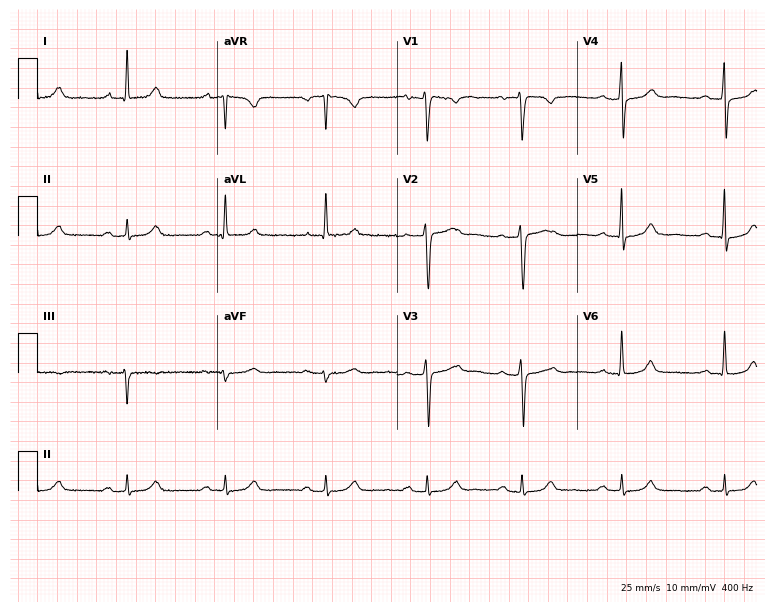
Standard 12-lead ECG recorded from a woman, 68 years old (7.3-second recording at 400 Hz). The tracing shows first-degree AV block.